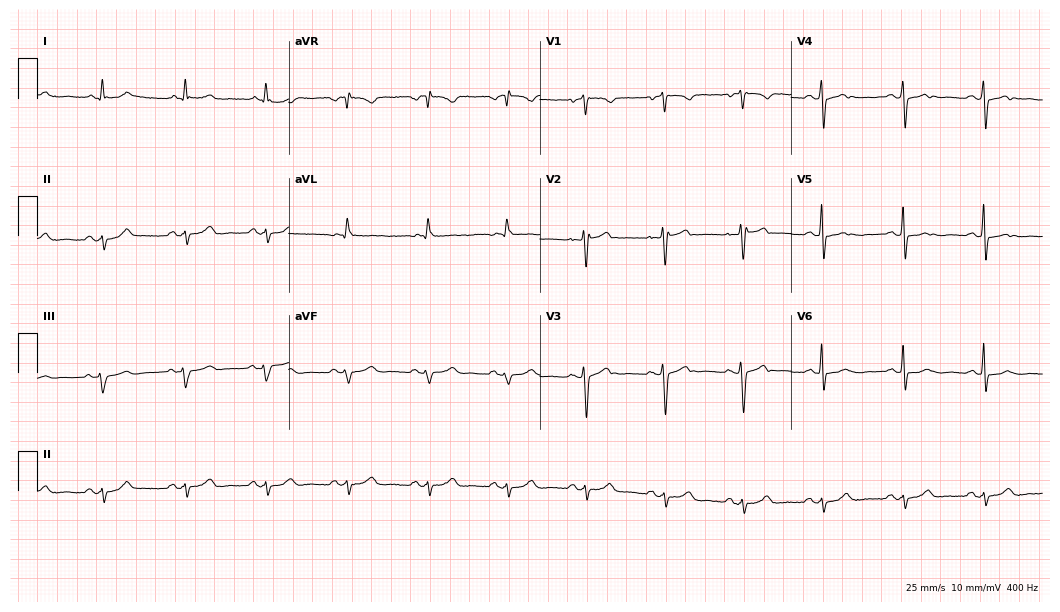
Electrocardiogram, a 52-year-old male. Of the six screened findings (first-degree AV block, right bundle branch block (RBBB), left bundle branch block (LBBB), sinus bradycardia, atrial fibrillation (AF), sinus tachycardia), none is recorded.